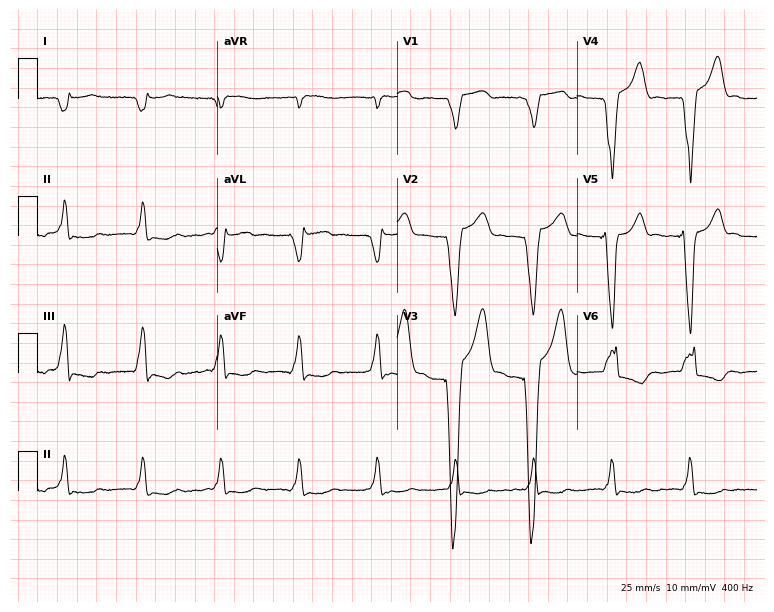
12-lead ECG from a man, 72 years old. No first-degree AV block, right bundle branch block (RBBB), left bundle branch block (LBBB), sinus bradycardia, atrial fibrillation (AF) or sinus tachycardia recorded for this tracing. Only these six findings were labelled.